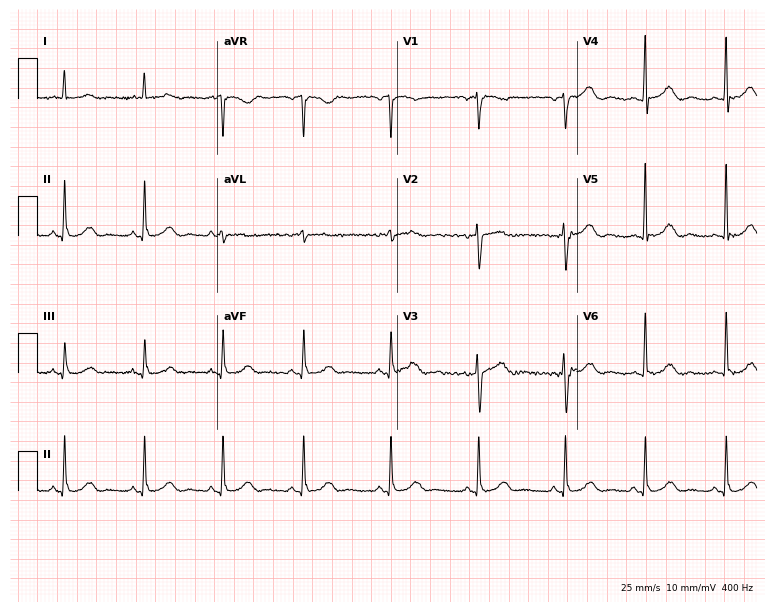
Standard 12-lead ECG recorded from a woman, 46 years old (7.3-second recording at 400 Hz). Read as a normal ECG.